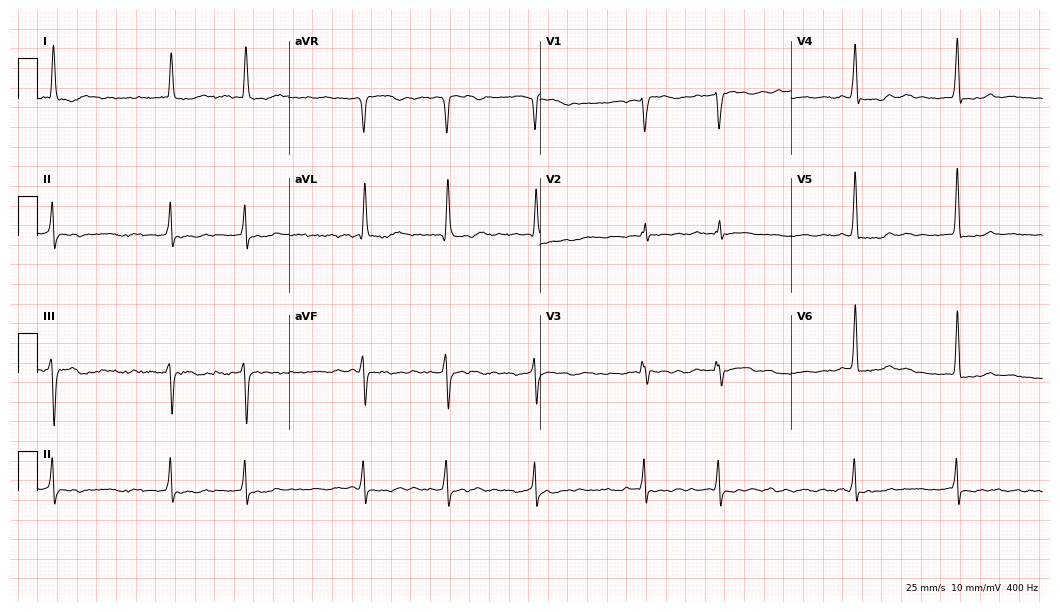
12-lead ECG from a 71-year-old female. Shows atrial fibrillation.